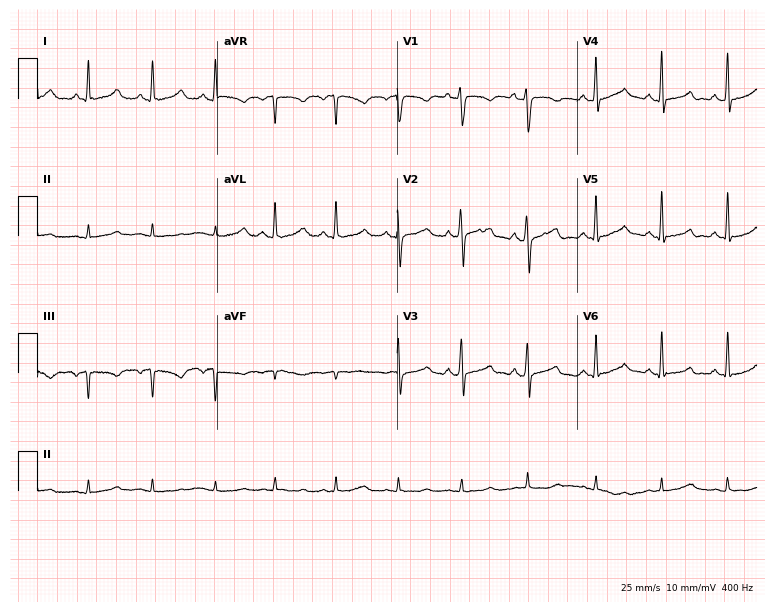
12-lead ECG (7.3-second recording at 400 Hz) from a 24-year-old female. Labelled as a normal ECG.